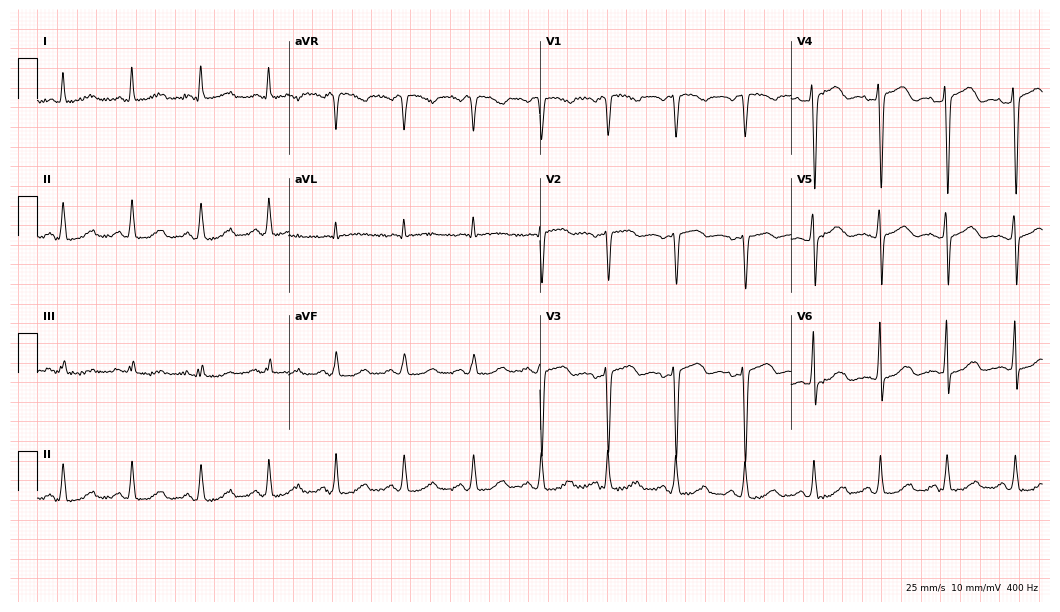
ECG (10.2-second recording at 400 Hz) — a 37-year-old woman. Labelled as a normal ECG.